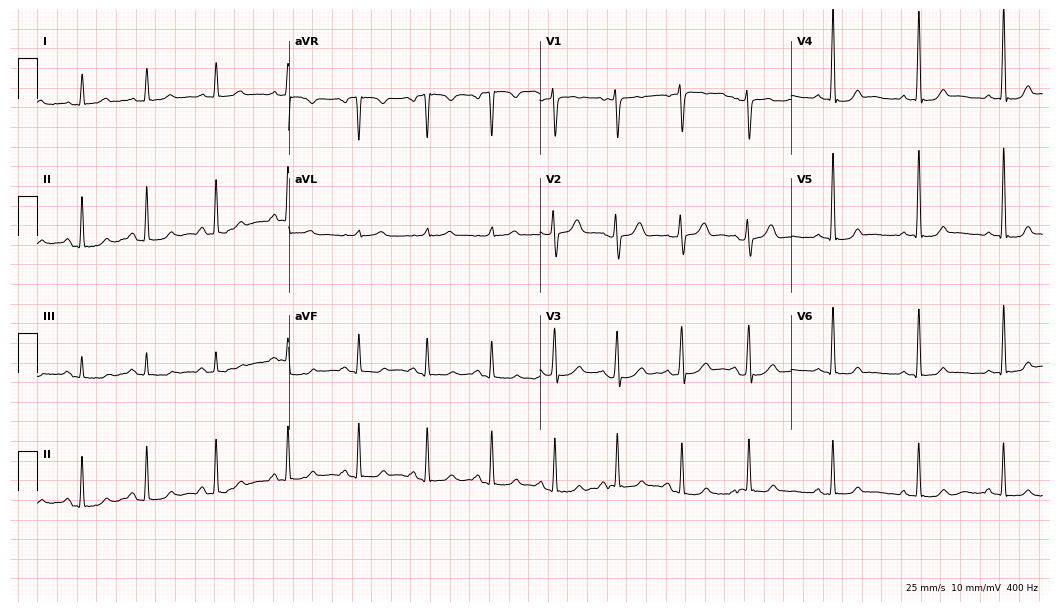
12-lead ECG from a female, 34 years old (10.2-second recording at 400 Hz). Recorded interpretation: within normal limits.